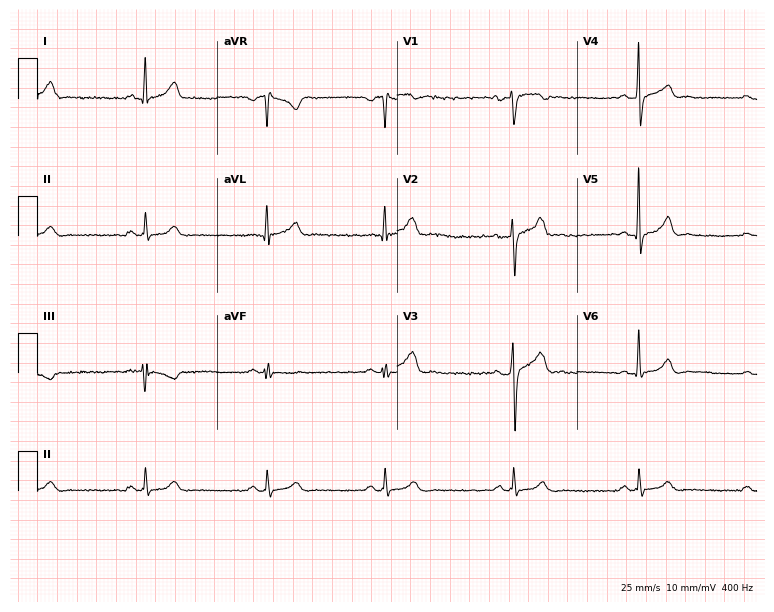
ECG — a male patient, 44 years old. Findings include sinus bradycardia (a sinus rate of 50 beats per minute or less).